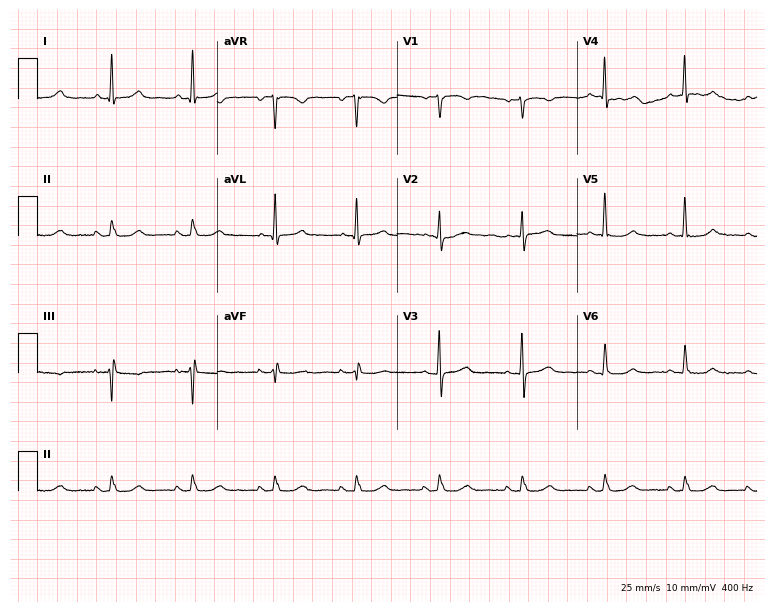
ECG — a man, 83 years old. Screened for six findings — first-degree AV block, right bundle branch block, left bundle branch block, sinus bradycardia, atrial fibrillation, sinus tachycardia — none is recorded.